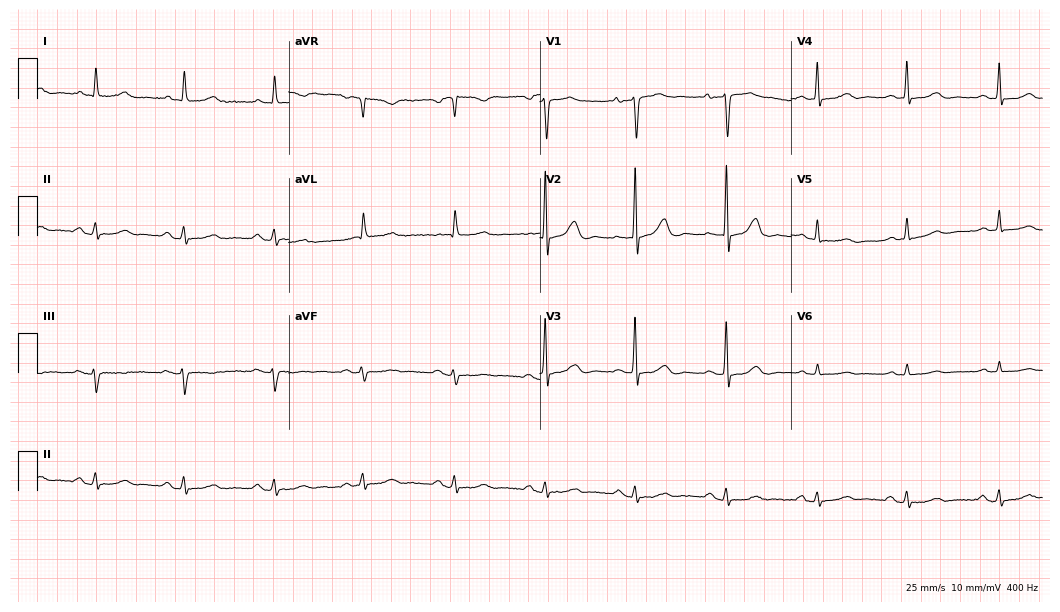
ECG — a 79-year-old woman. Screened for six findings — first-degree AV block, right bundle branch block (RBBB), left bundle branch block (LBBB), sinus bradycardia, atrial fibrillation (AF), sinus tachycardia — none is recorded.